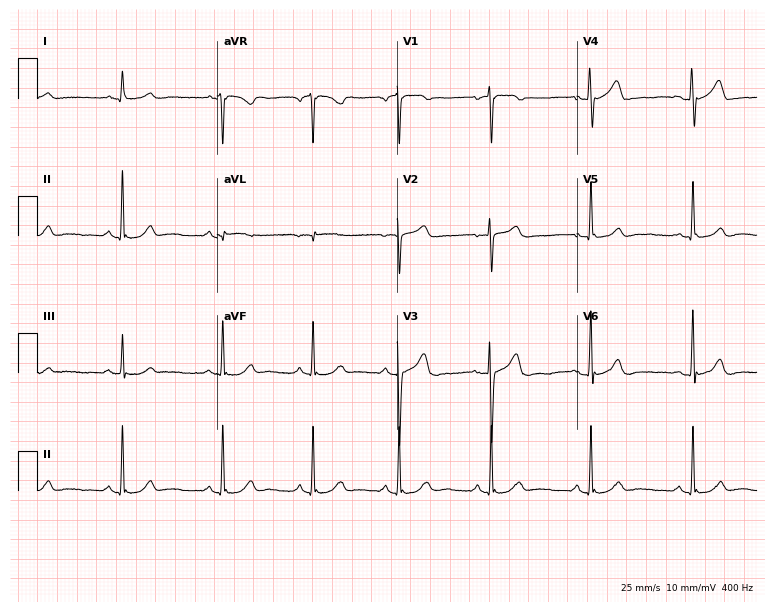
12-lead ECG from a woman, 42 years old. Recorded interpretation: within normal limits.